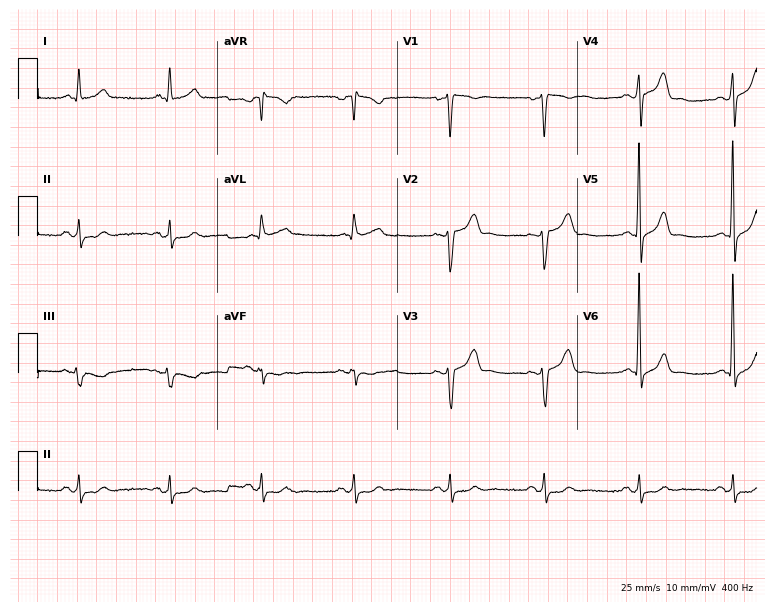
Electrocardiogram (7.3-second recording at 400 Hz), a male, 53 years old. Overall reading on record: normal ECG.